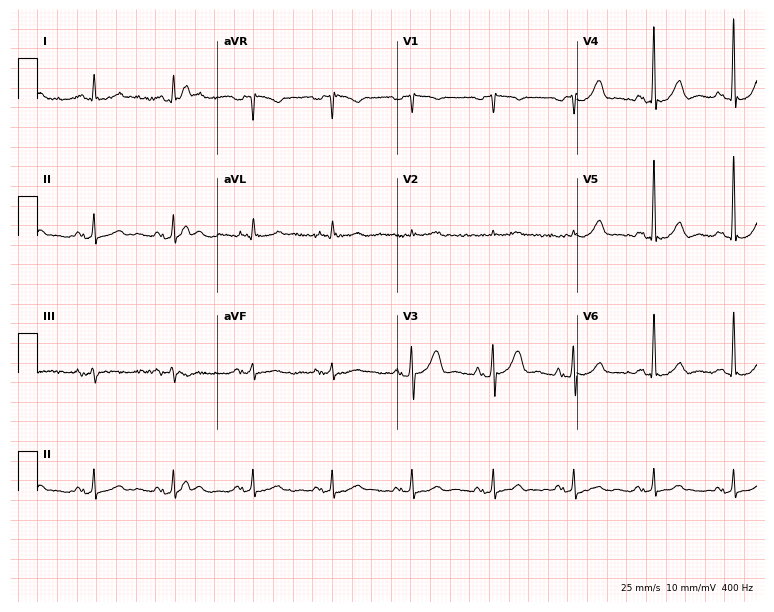
Resting 12-lead electrocardiogram. Patient: a male, 84 years old. Read as a normal ECG.